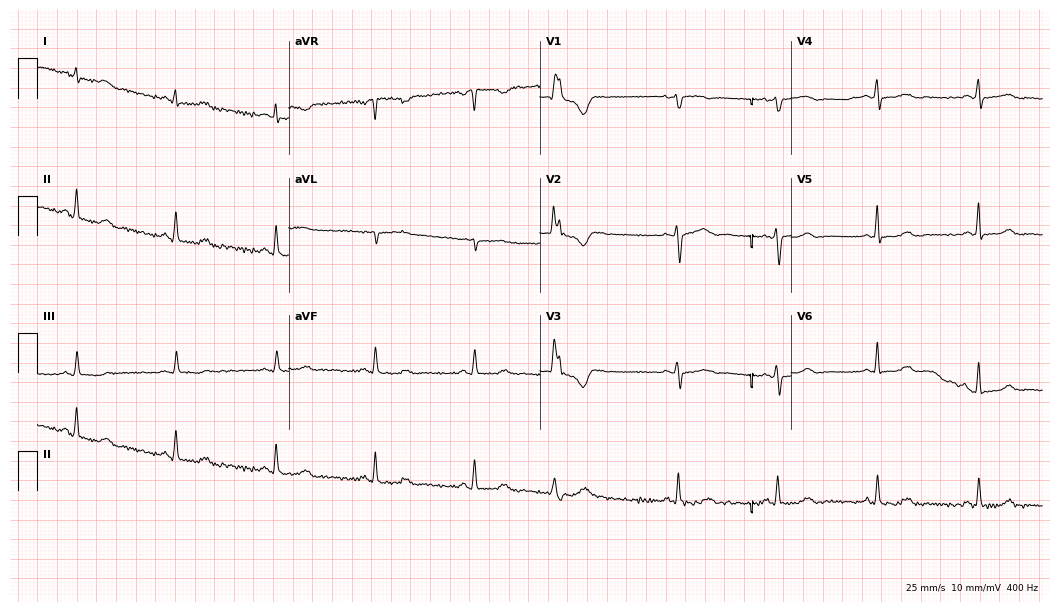
Electrocardiogram (10.2-second recording at 400 Hz), a 49-year-old female. Of the six screened findings (first-degree AV block, right bundle branch block, left bundle branch block, sinus bradycardia, atrial fibrillation, sinus tachycardia), none is recorded.